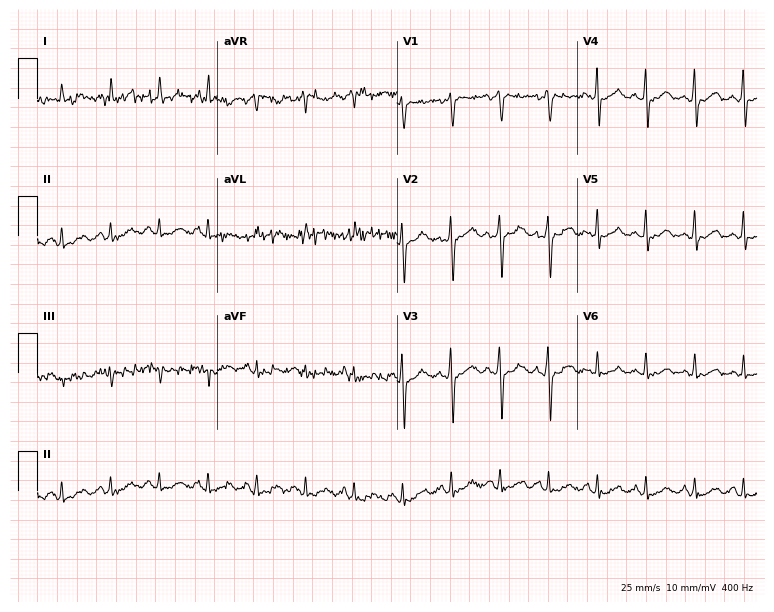
12-lead ECG from a female, 42 years old. No first-degree AV block, right bundle branch block (RBBB), left bundle branch block (LBBB), sinus bradycardia, atrial fibrillation (AF) or sinus tachycardia recorded for this tracing.